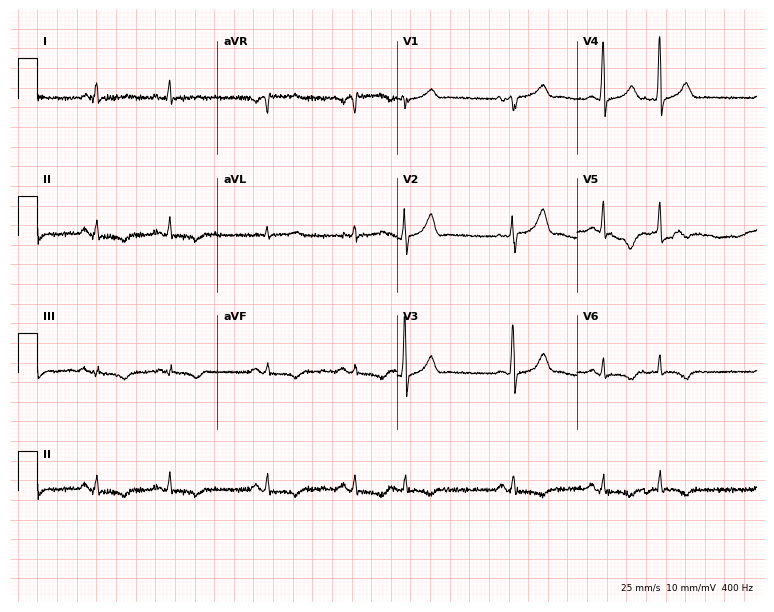
Resting 12-lead electrocardiogram. Patient: a 76-year-old male. None of these six findings is recorded: first-degree AV block, right bundle branch block, left bundle branch block, sinus bradycardia, atrial fibrillation, sinus tachycardia. Other findings, if any, are not listed.